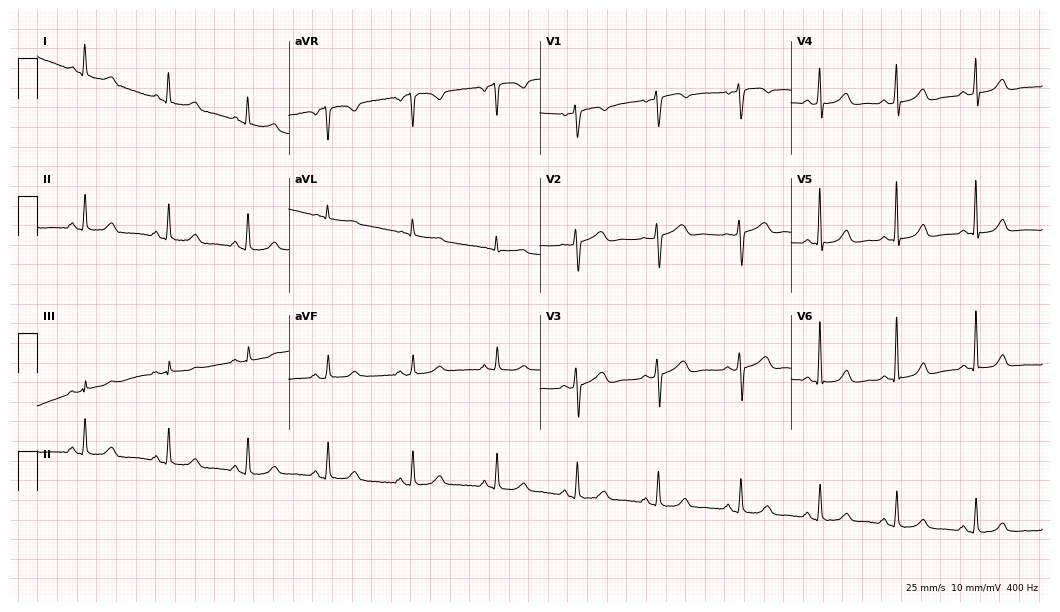
Standard 12-lead ECG recorded from a 57-year-old woman (10.2-second recording at 400 Hz). Read as a normal ECG.